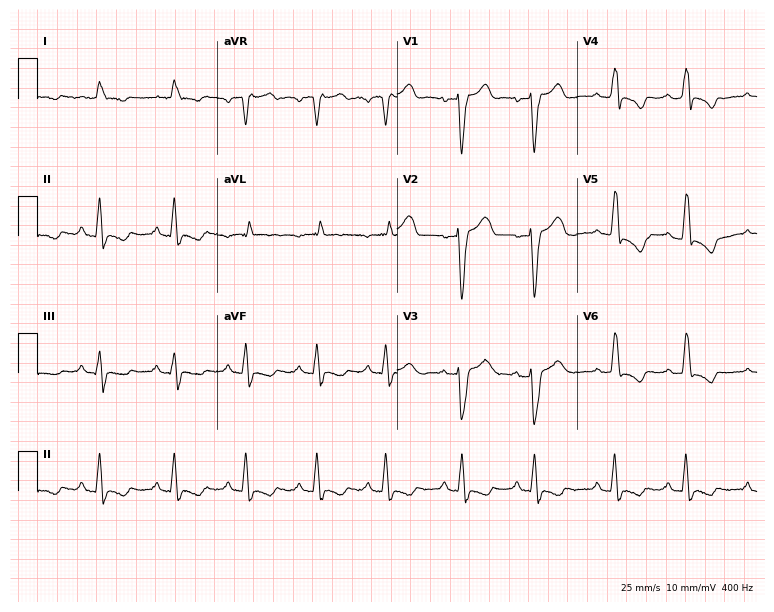
12-lead ECG (7.3-second recording at 400 Hz) from a woman, 64 years old. Screened for six findings — first-degree AV block, right bundle branch block, left bundle branch block, sinus bradycardia, atrial fibrillation, sinus tachycardia — none is recorded. Only these six findings were labelled.